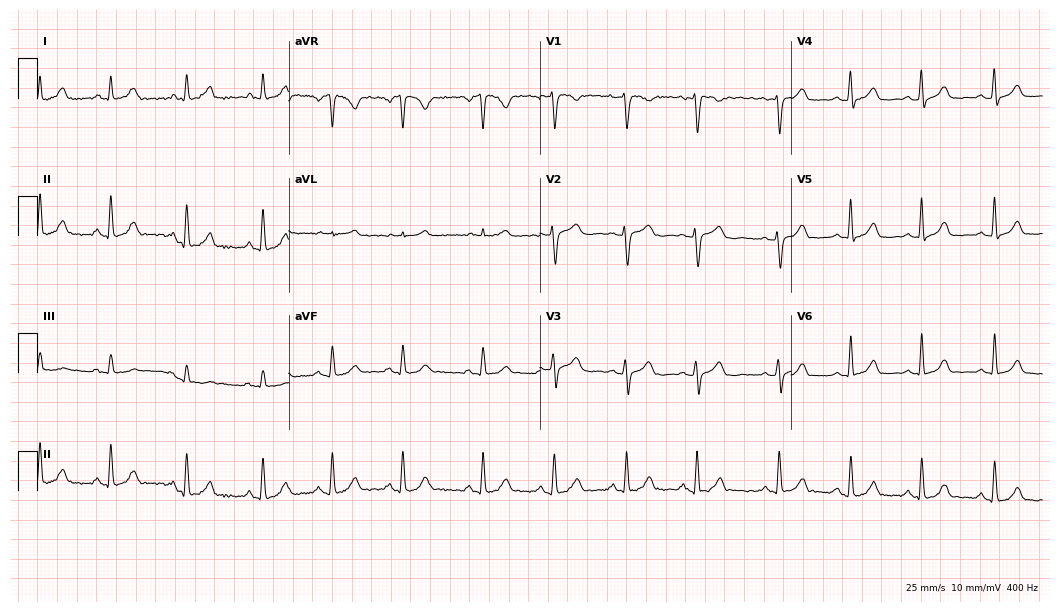
Resting 12-lead electrocardiogram. Patient: a 38-year-old female. Read as a normal ECG.